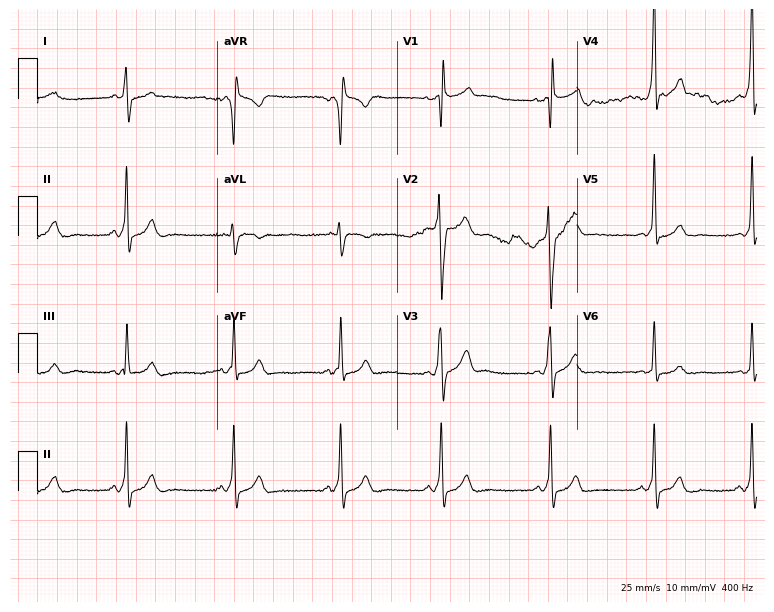
Standard 12-lead ECG recorded from a 21-year-old man (7.3-second recording at 400 Hz). None of these six findings is recorded: first-degree AV block, right bundle branch block (RBBB), left bundle branch block (LBBB), sinus bradycardia, atrial fibrillation (AF), sinus tachycardia. Other findings, if any, are not listed.